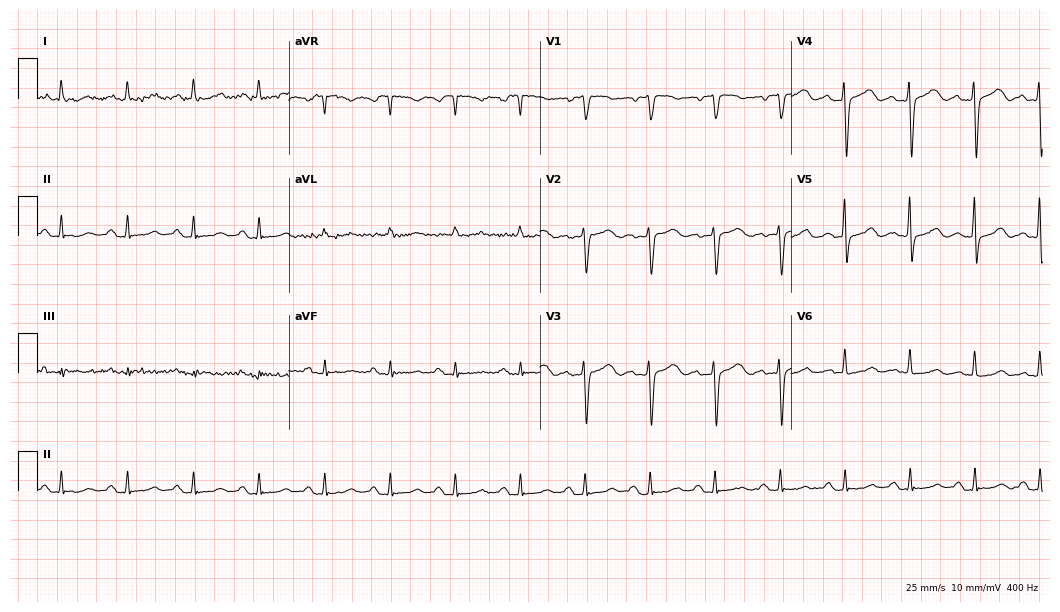
12-lead ECG from a 75-year-old female. Screened for six findings — first-degree AV block, right bundle branch block, left bundle branch block, sinus bradycardia, atrial fibrillation, sinus tachycardia — none is recorded.